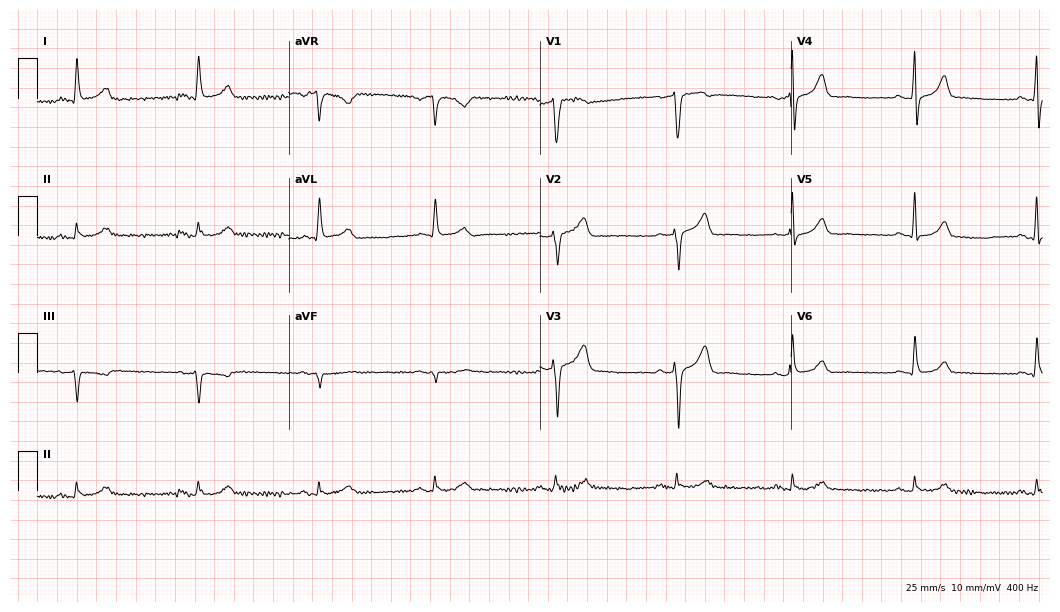
Resting 12-lead electrocardiogram. Patient: a 73-year-old male. The tracing shows sinus bradycardia (a sinus rate of 50 beats per minute or less).